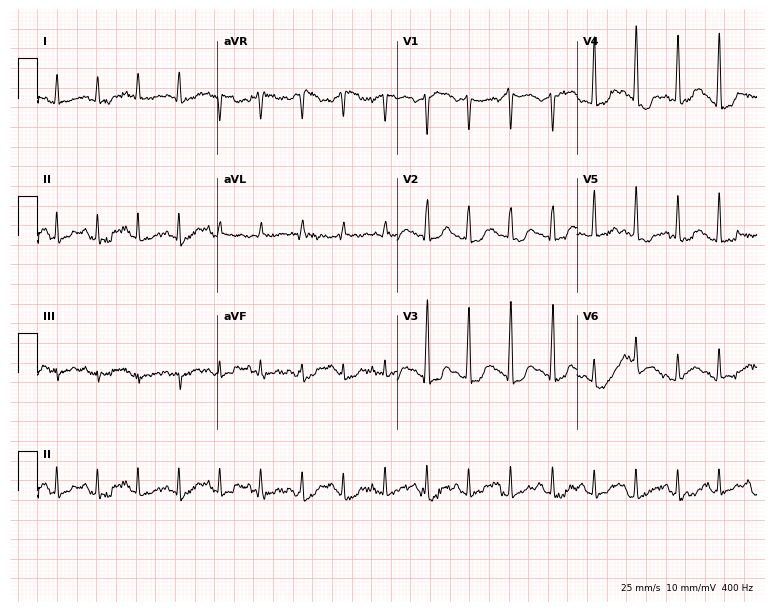
Electrocardiogram (7.3-second recording at 400 Hz), a 40-year-old female patient. Interpretation includes sinus tachycardia (a sinus rate of 100 beats per minute or more).